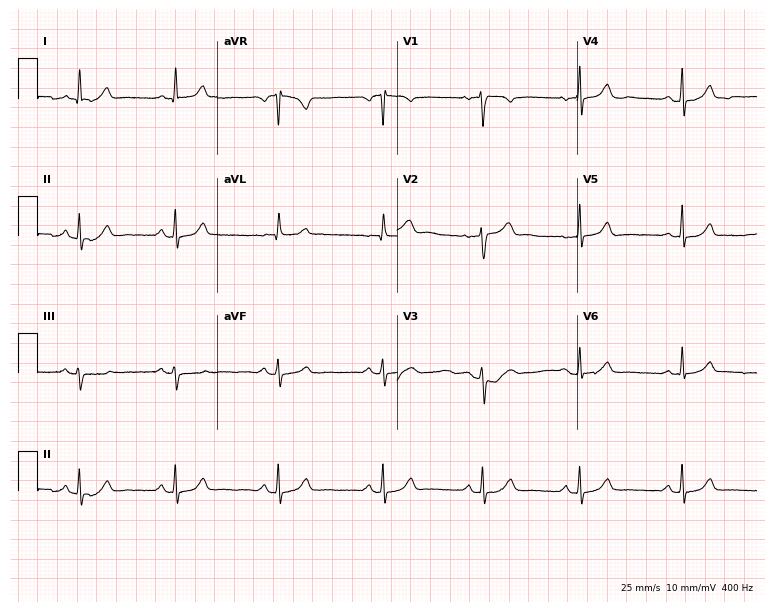
ECG — a 35-year-old female patient. Labelled as a normal ECG.